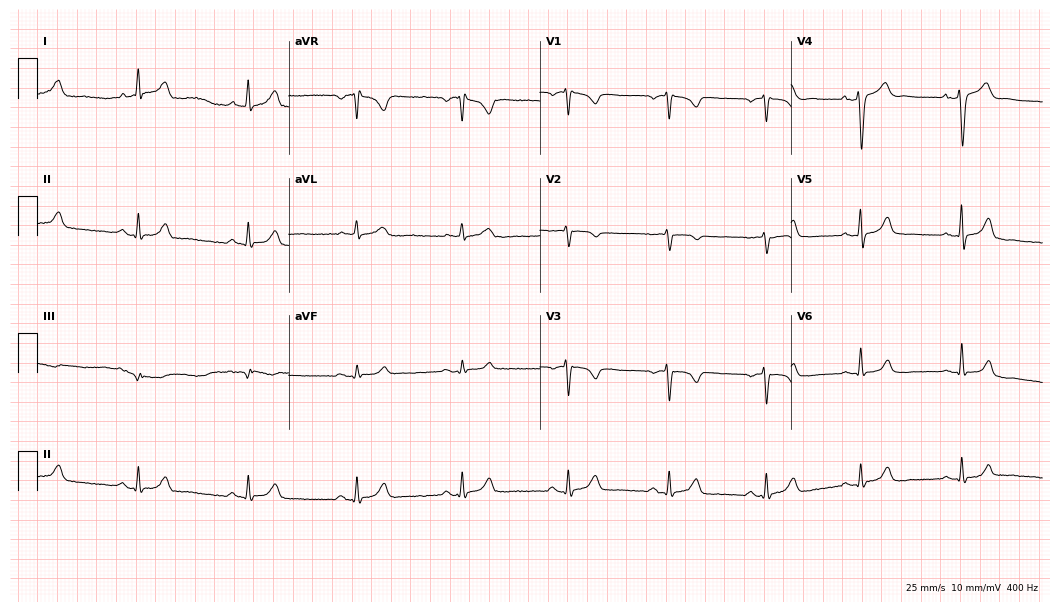
12-lead ECG from a man, 59 years old. Shows sinus bradycardia (a sinus rate of 50 beats per minute or less).